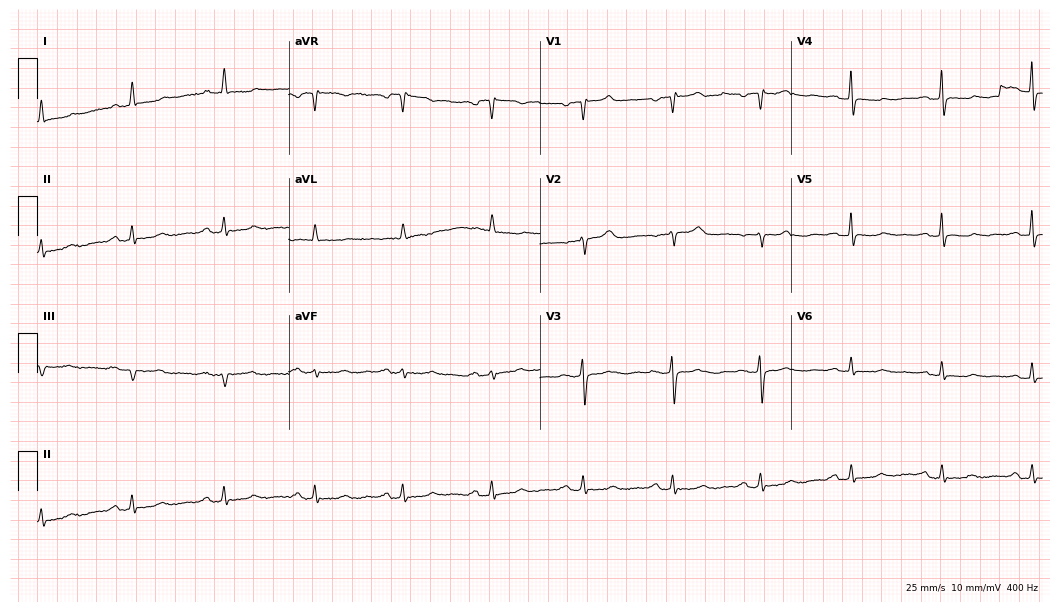
ECG (10.2-second recording at 400 Hz) — a woman, 71 years old. Screened for six findings — first-degree AV block, right bundle branch block (RBBB), left bundle branch block (LBBB), sinus bradycardia, atrial fibrillation (AF), sinus tachycardia — none is recorded.